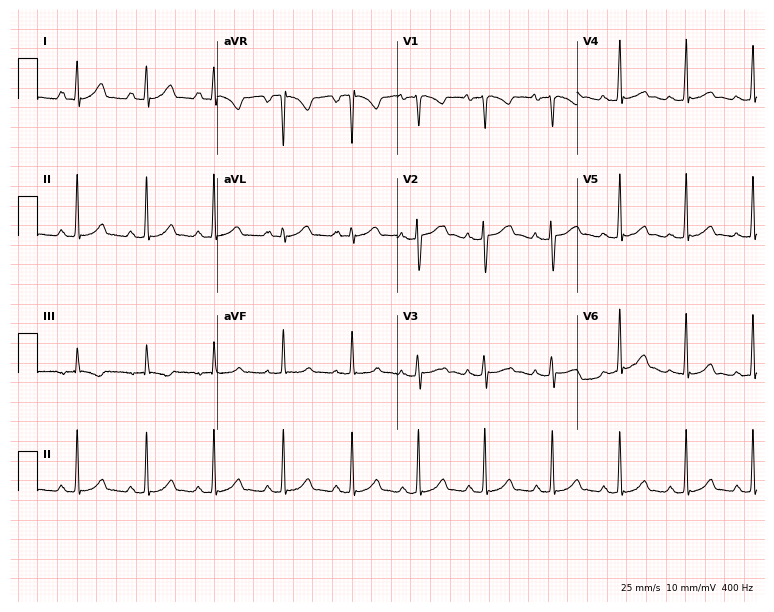
Electrocardiogram (7.3-second recording at 400 Hz), a female, 19 years old. Overall reading on record: normal ECG.